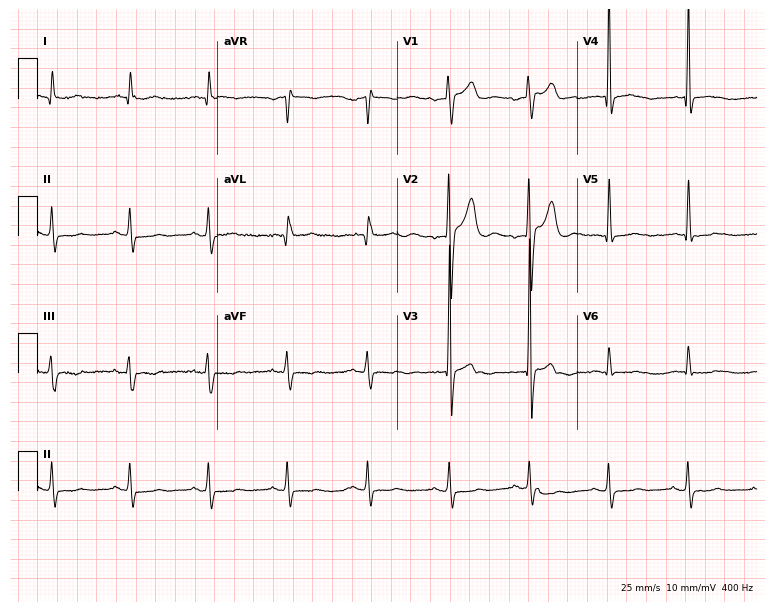
ECG (7.3-second recording at 400 Hz) — a male, 37 years old. Screened for six findings — first-degree AV block, right bundle branch block, left bundle branch block, sinus bradycardia, atrial fibrillation, sinus tachycardia — none is recorded.